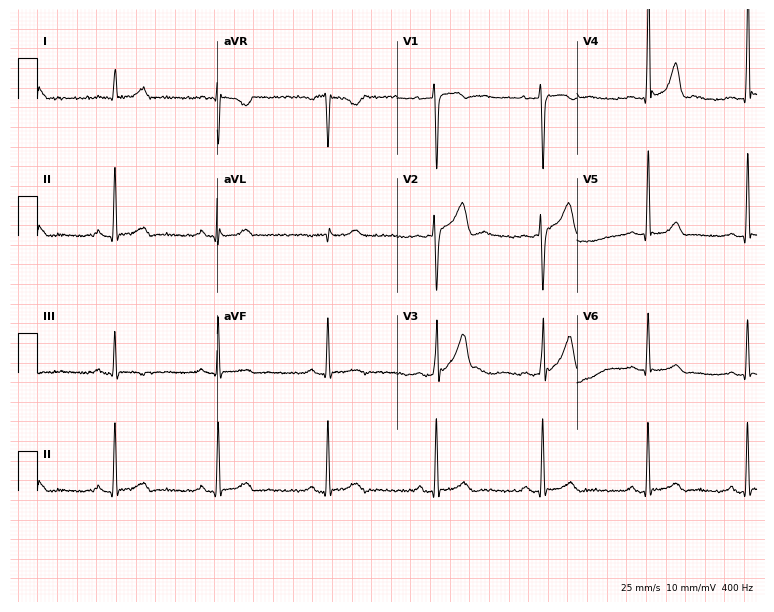
Electrocardiogram (7.3-second recording at 400 Hz), a 27-year-old male. Overall reading on record: normal ECG.